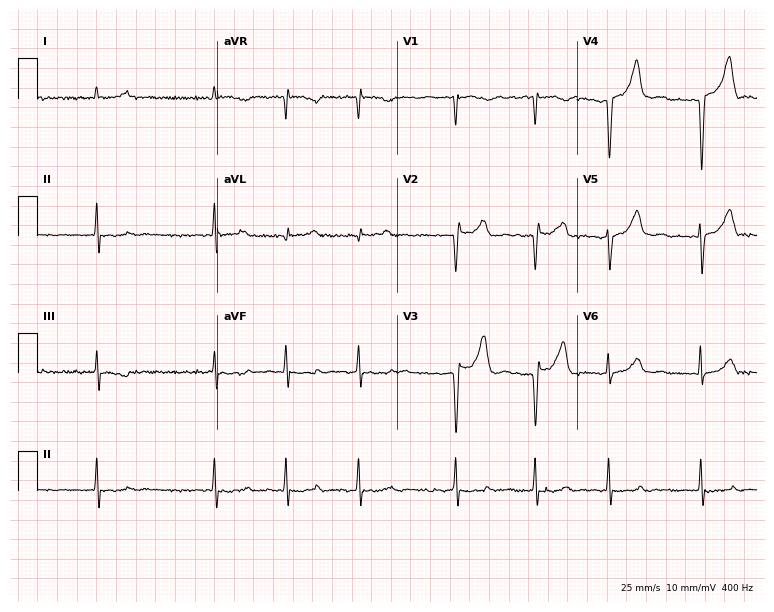
Standard 12-lead ECG recorded from a 79-year-old male patient. The tracing shows atrial fibrillation (AF).